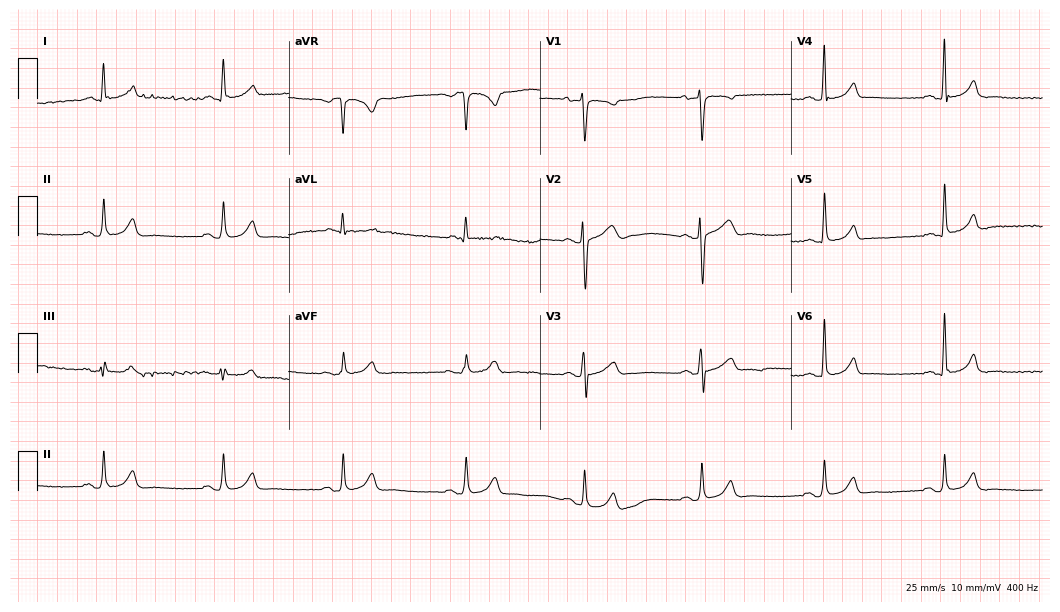
Resting 12-lead electrocardiogram (10.2-second recording at 400 Hz). Patient: a 59-year-old man. The tracing shows sinus bradycardia (a sinus rate of 50 beats per minute or less).